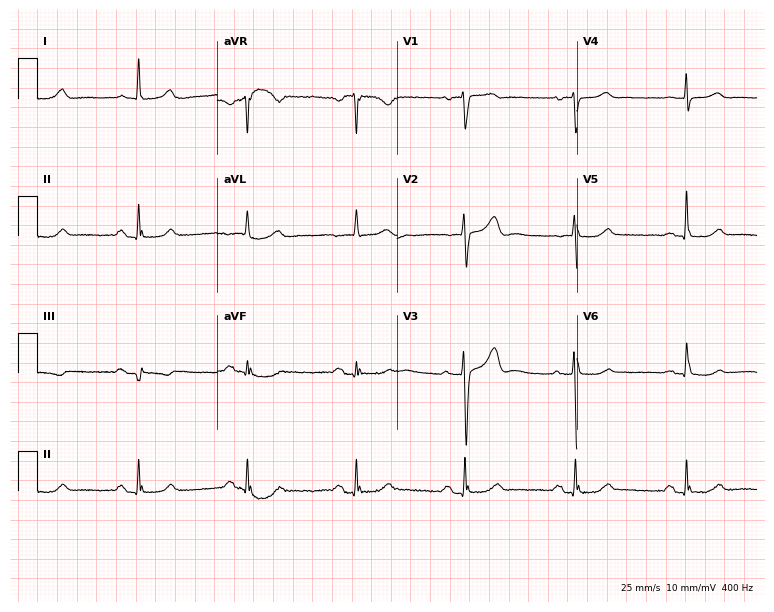
Standard 12-lead ECG recorded from a female, 73 years old (7.3-second recording at 400 Hz). Read as a normal ECG.